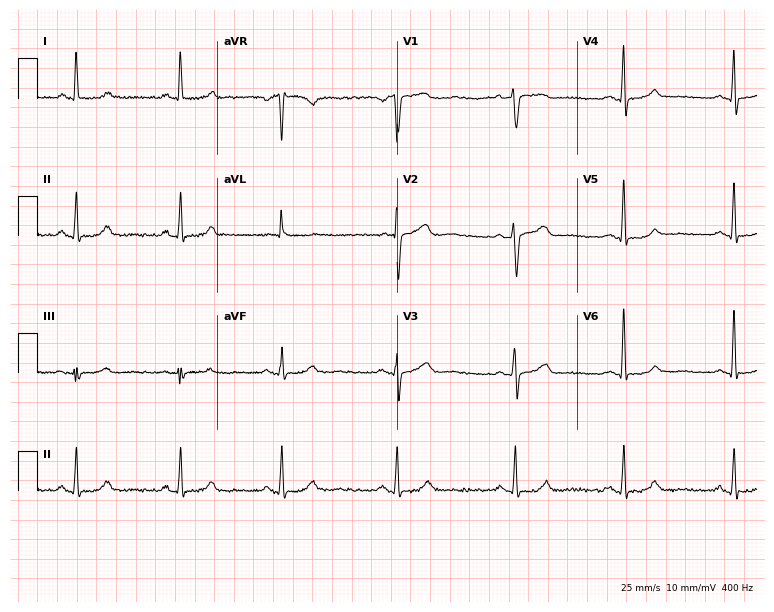
Standard 12-lead ECG recorded from a woman, 53 years old (7.3-second recording at 400 Hz). None of these six findings is recorded: first-degree AV block, right bundle branch block, left bundle branch block, sinus bradycardia, atrial fibrillation, sinus tachycardia.